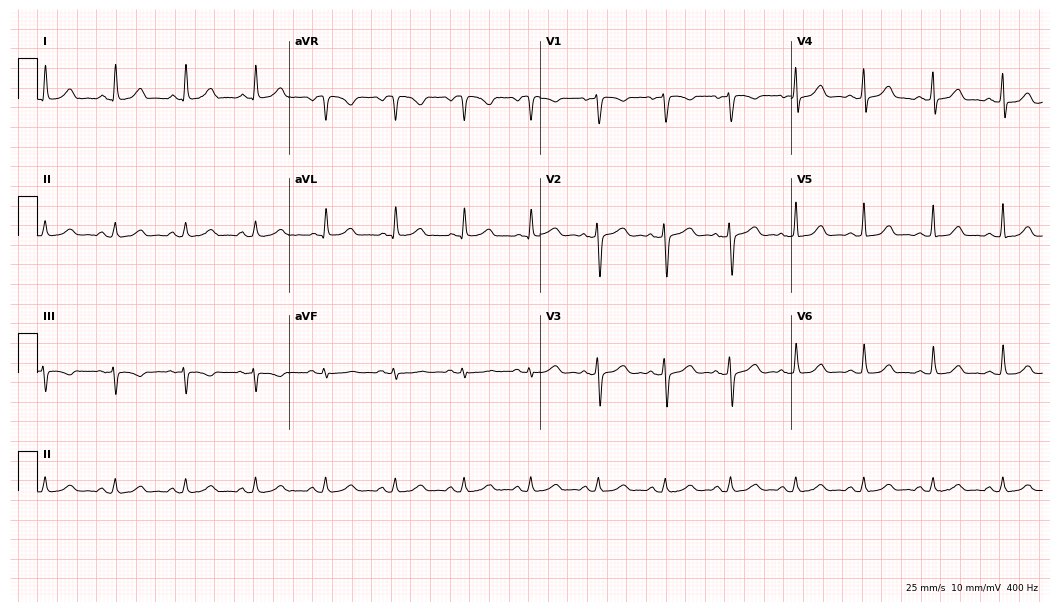
12-lead ECG from a 43-year-old woman. Recorded interpretation: within normal limits.